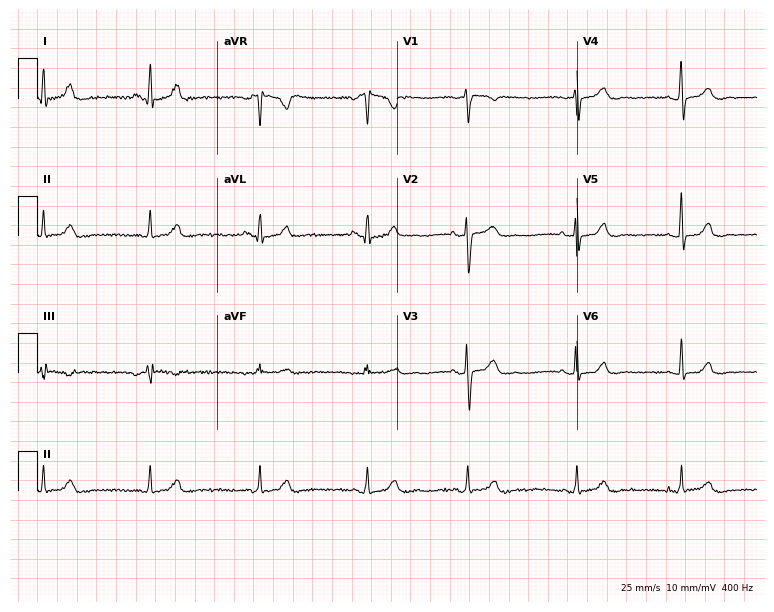
Standard 12-lead ECG recorded from a female, 38 years old (7.3-second recording at 400 Hz). Read as a normal ECG.